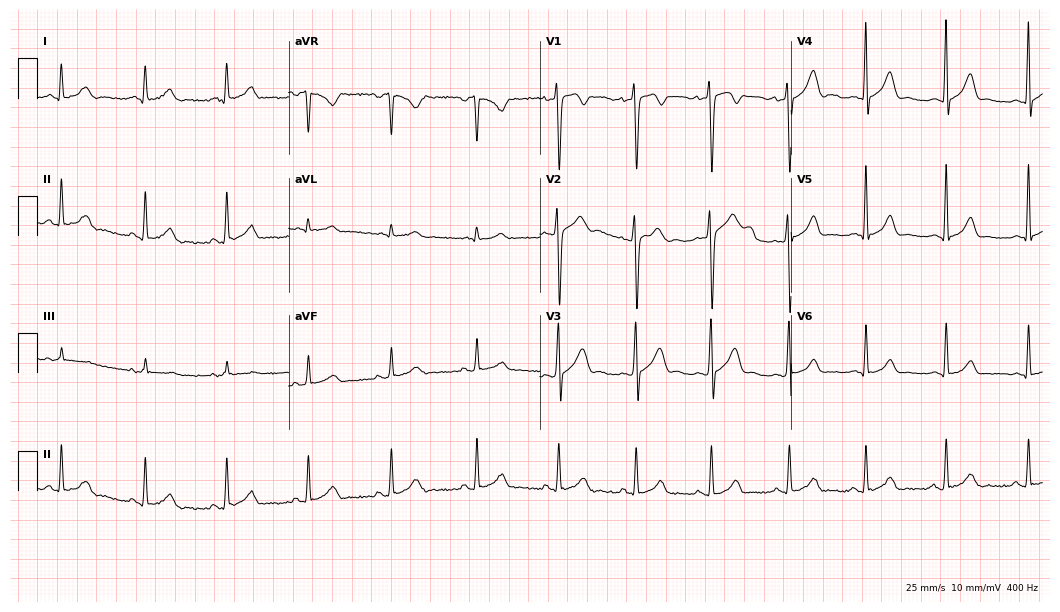
Standard 12-lead ECG recorded from a male, 33 years old. Read as a normal ECG.